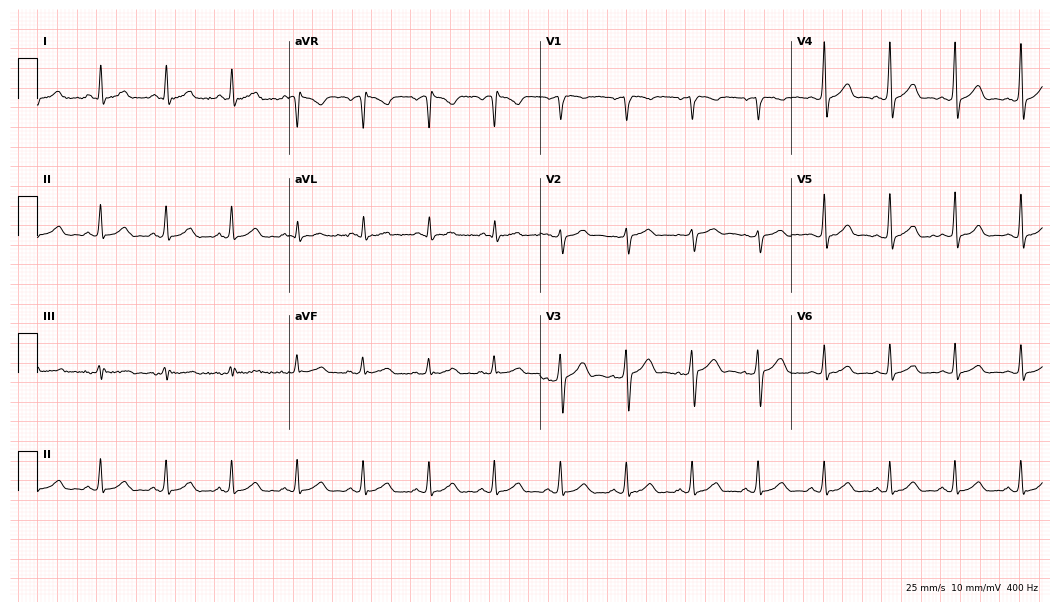
ECG — a male patient, 33 years old. Labelled as a normal ECG.